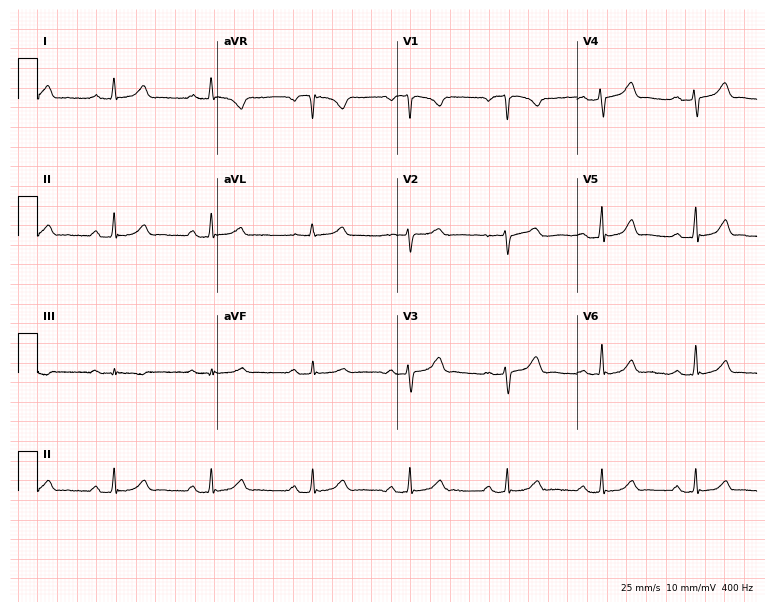
Resting 12-lead electrocardiogram (7.3-second recording at 400 Hz). Patient: a woman, 40 years old. The tracing shows first-degree AV block.